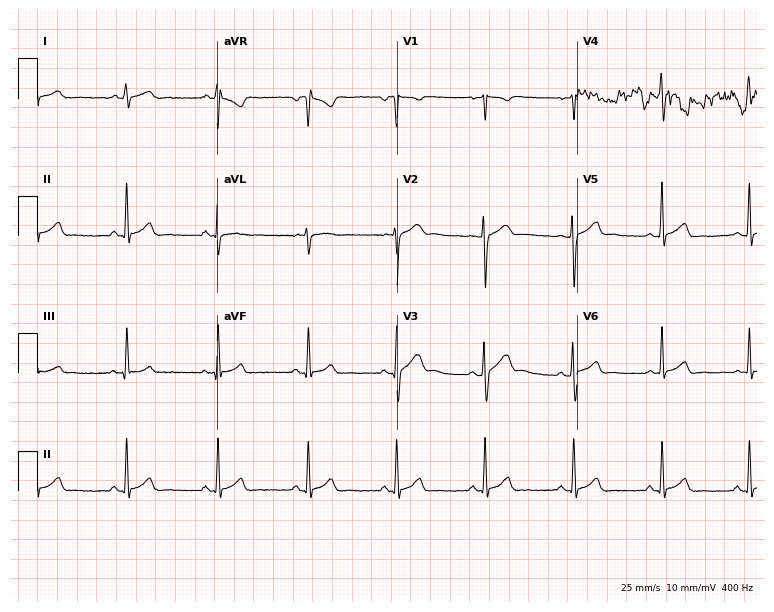
12-lead ECG (7.3-second recording at 400 Hz) from a male patient, 24 years old. Screened for six findings — first-degree AV block, right bundle branch block, left bundle branch block, sinus bradycardia, atrial fibrillation, sinus tachycardia — none is recorded.